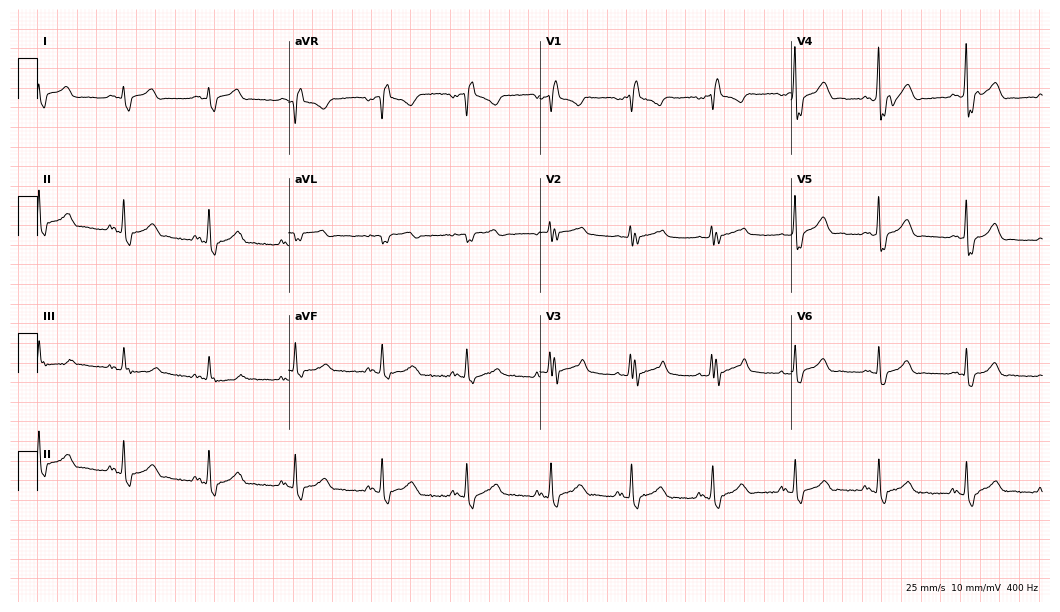
12-lead ECG (10.2-second recording at 400 Hz) from a 36-year-old male. Screened for six findings — first-degree AV block, right bundle branch block, left bundle branch block, sinus bradycardia, atrial fibrillation, sinus tachycardia — none is recorded.